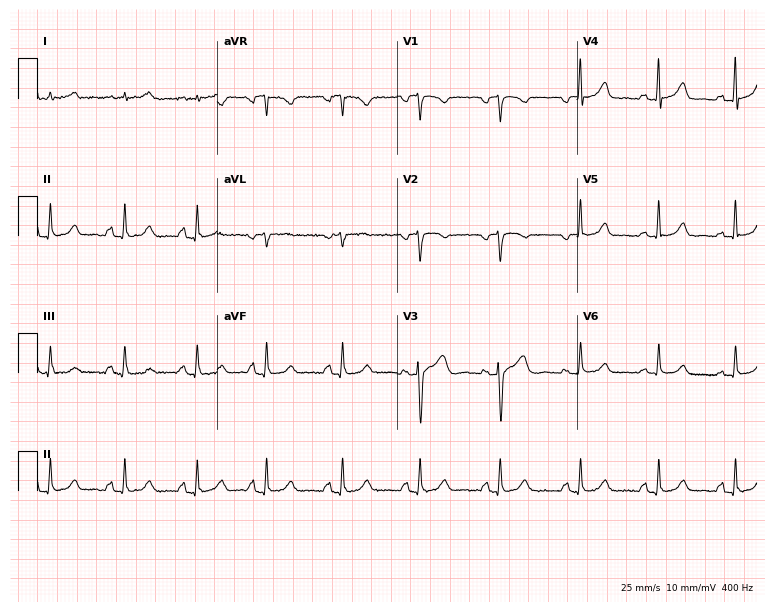
12-lead ECG from a 59-year-old female. No first-degree AV block, right bundle branch block (RBBB), left bundle branch block (LBBB), sinus bradycardia, atrial fibrillation (AF) or sinus tachycardia recorded for this tracing.